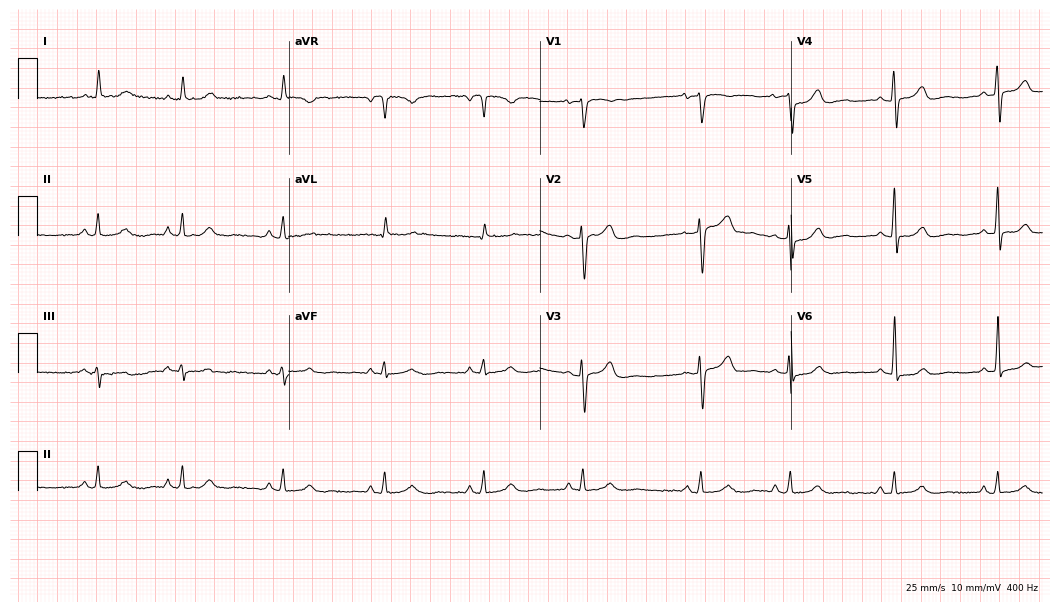
Electrocardiogram (10.2-second recording at 400 Hz), a female, 48 years old. Overall reading on record: normal ECG.